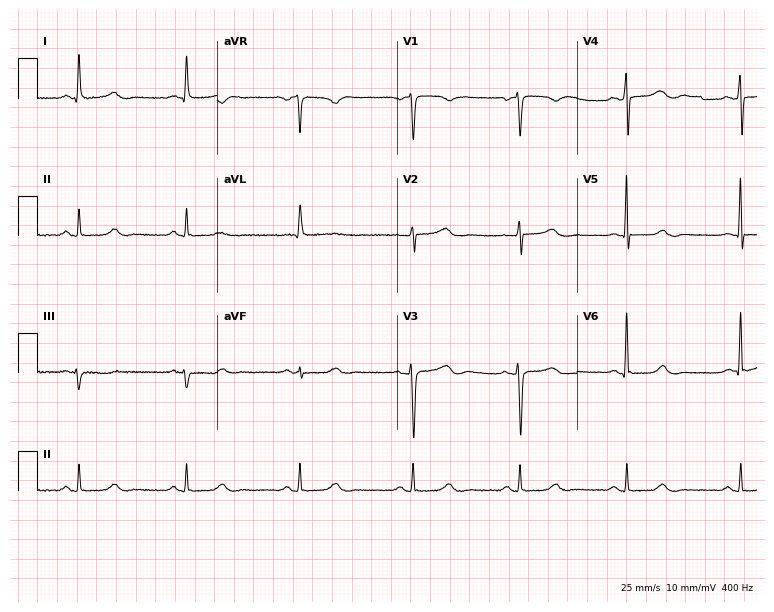
ECG (7.3-second recording at 400 Hz) — a woman, 75 years old. Screened for six findings — first-degree AV block, right bundle branch block, left bundle branch block, sinus bradycardia, atrial fibrillation, sinus tachycardia — none is recorded.